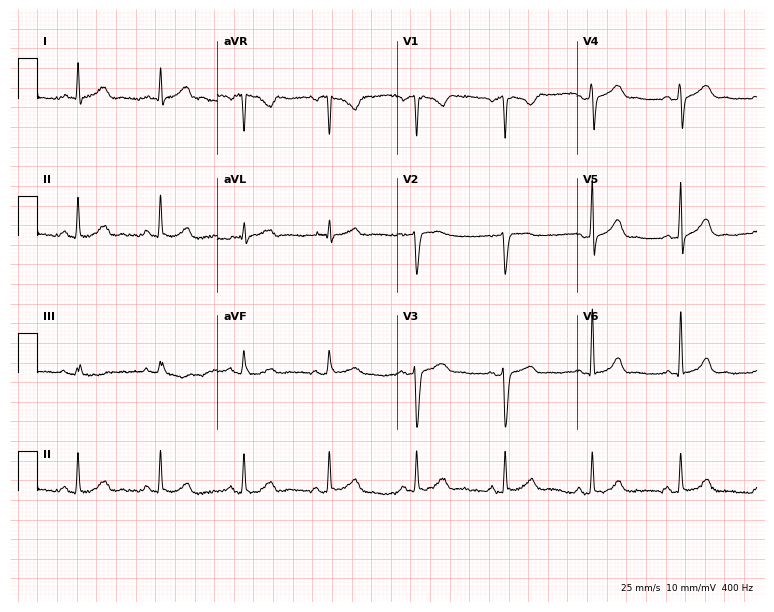
ECG — a 38-year-old male patient. Screened for six findings — first-degree AV block, right bundle branch block, left bundle branch block, sinus bradycardia, atrial fibrillation, sinus tachycardia — none is recorded. Only these six findings were labelled.